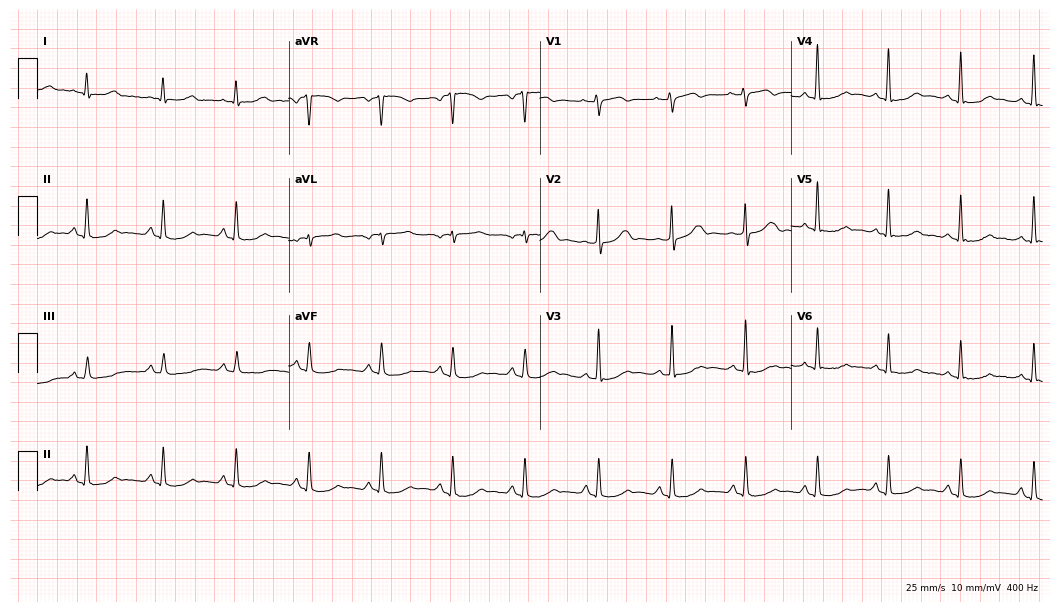
Resting 12-lead electrocardiogram. Patient: a 74-year-old female. Read as a normal ECG.